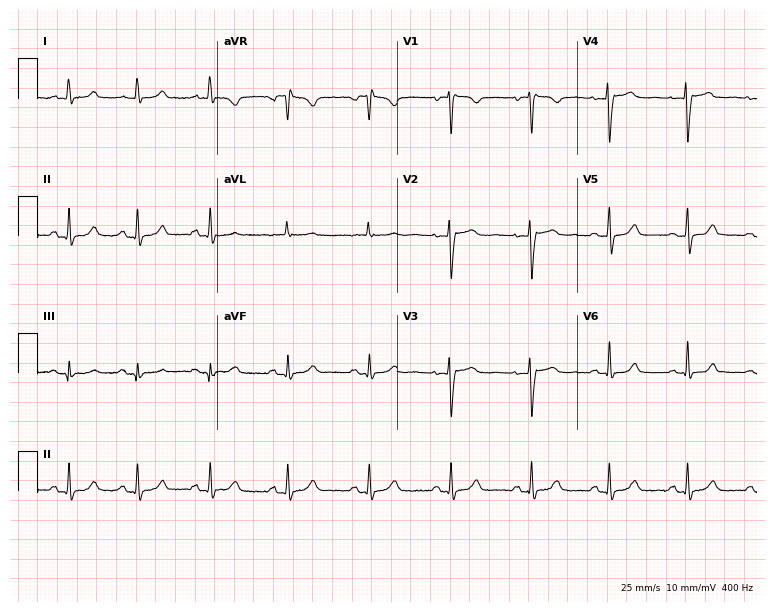
Electrocardiogram (7.3-second recording at 400 Hz), a 32-year-old female patient. Overall reading on record: normal ECG.